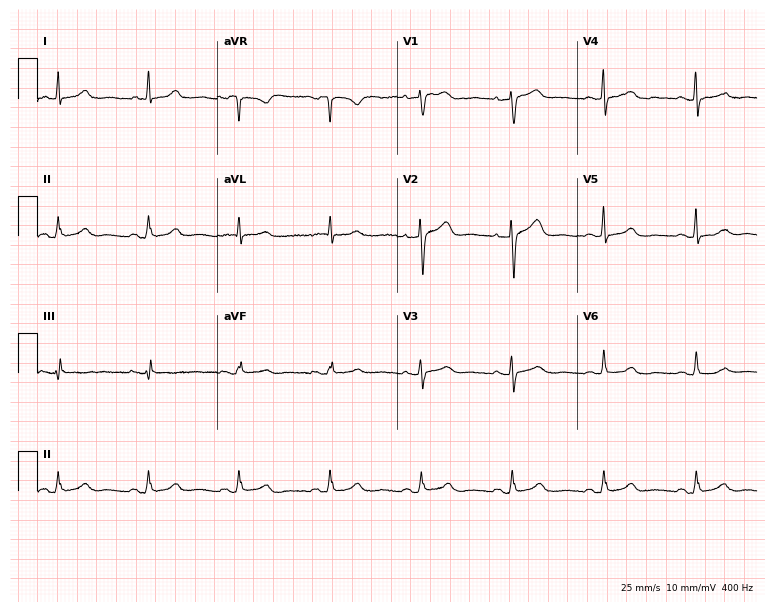
Standard 12-lead ECG recorded from a 61-year-old female patient. Read as a normal ECG.